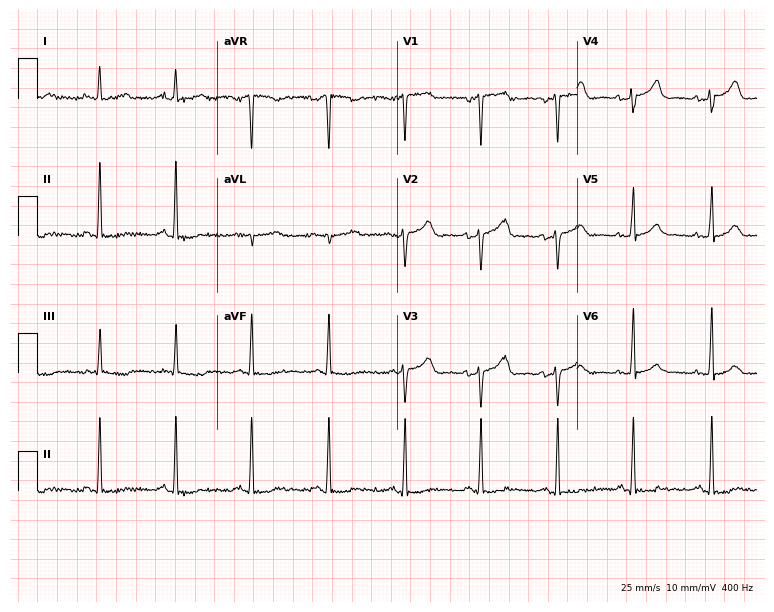
12-lead ECG from a woman, 41 years old. Screened for six findings — first-degree AV block, right bundle branch block, left bundle branch block, sinus bradycardia, atrial fibrillation, sinus tachycardia — none is recorded.